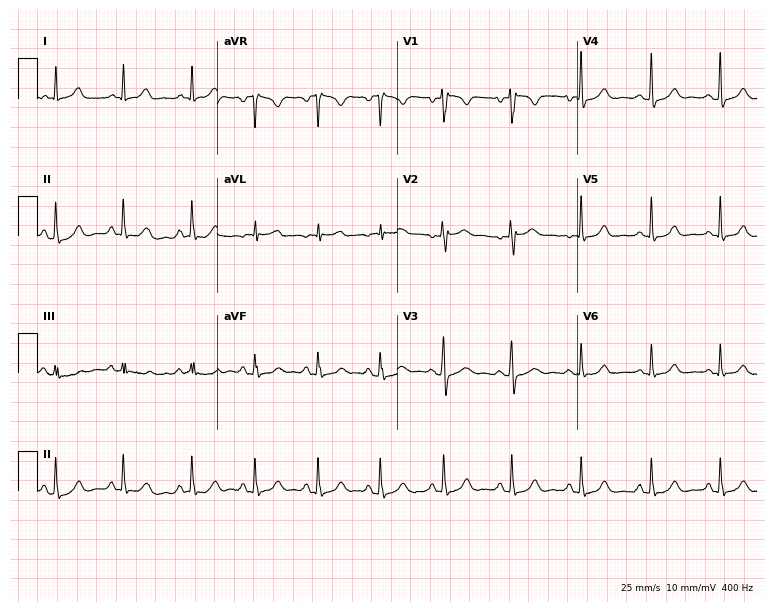
Electrocardiogram (7.3-second recording at 400 Hz), a 32-year-old female. Overall reading on record: normal ECG.